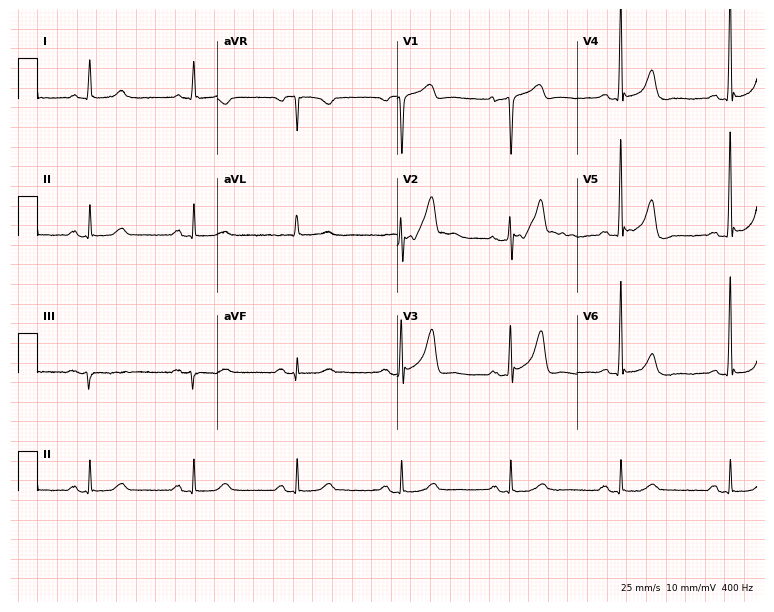
Resting 12-lead electrocardiogram (7.3-second recording at 400 Hz). Patient: an 80-year-old man. Read as a normal ECG.